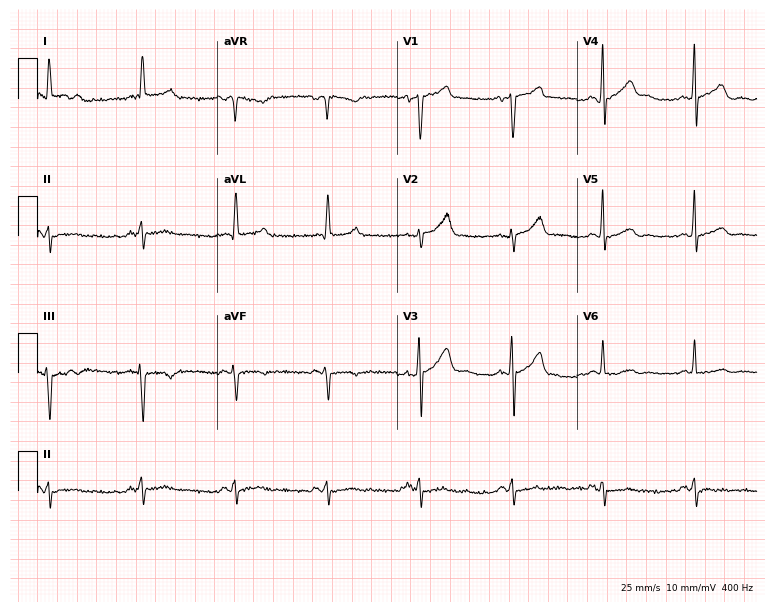
Resting 12-lead electrocardiogram (7.3-second recording at 400 Hz). Patient: a 61-year-old man. None of these six findings is recorded: first-degree AV block, right bundle branch block, left bundle branch block, sinus bradycardia, atrial fibrillation, sinus tachycardia. Findings outside these six are not listed.